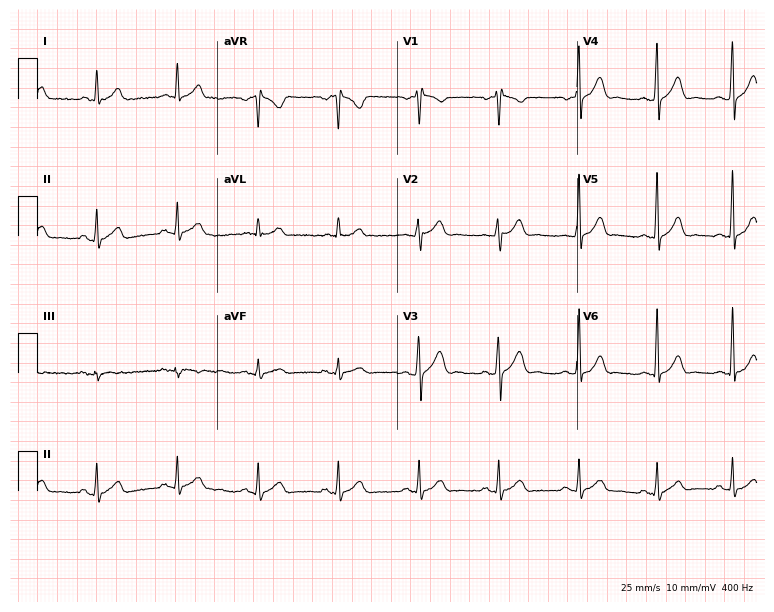
12-lead ECG from a man, 33 years old. Recorded interpretation: within normal limits.